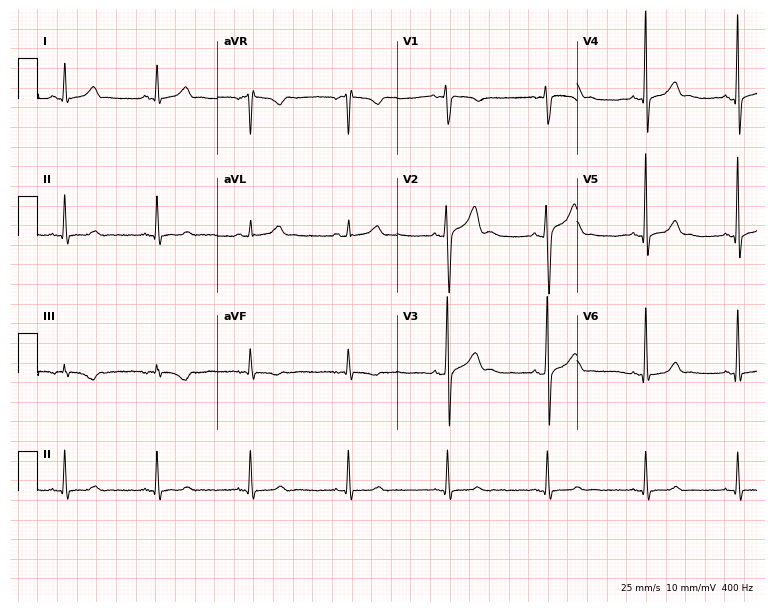
Electrocardiogram, a male patient, 26 years old. Overall reading on record: normal ECG.